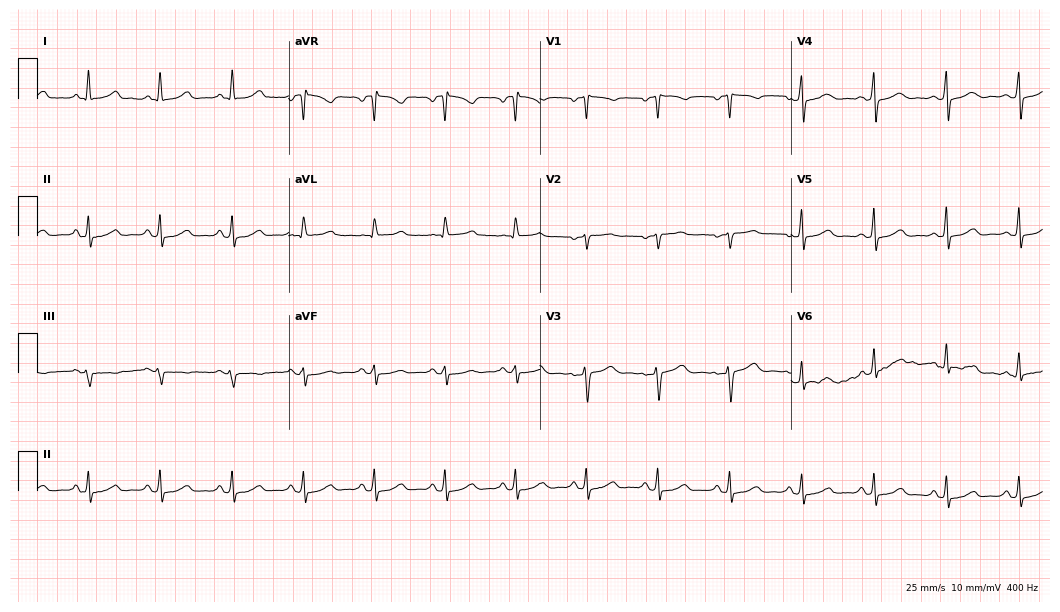
12-lead ECG from a 49-year-old woman. Labelled as a normal ECG.